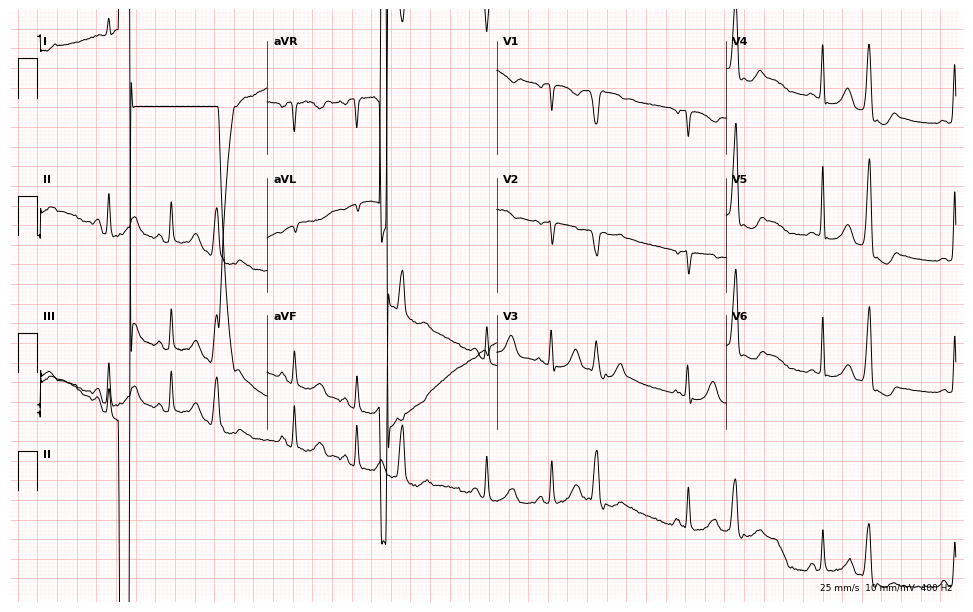
12-lead ECG from a 74-year-old man. Screened for six findings — first-degree AV block, right bundle branch block, left bundle branch block, sinus bradycardia, atrial fibrillation, sinus tachycardia — none is recorded. Findings outside these six are not listed.